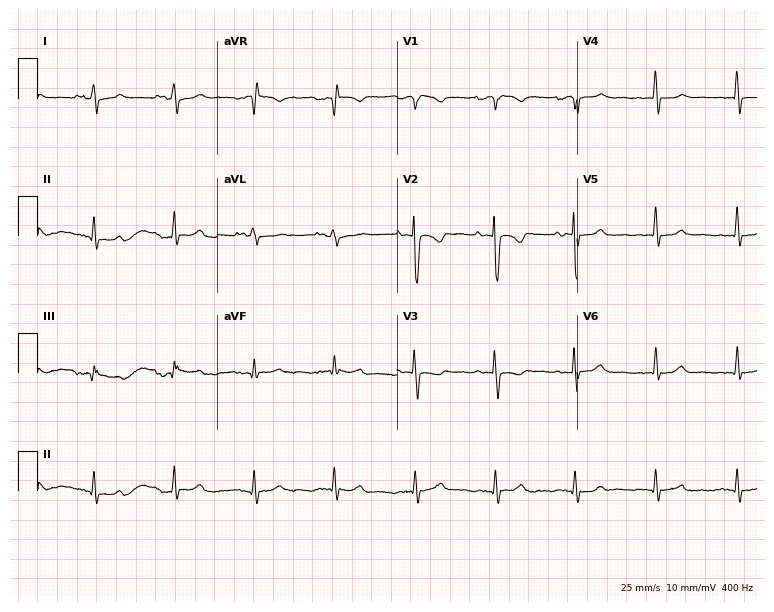
12-lead ECG from a female patient, 24 years old. Screened for six findings — first-degree AV block, right bundle branch block (RBBB), left bundle branch block (LBBB), sinus bradycardia, atrial fibrillation (AF), sinus tachycardia — none is recorded.